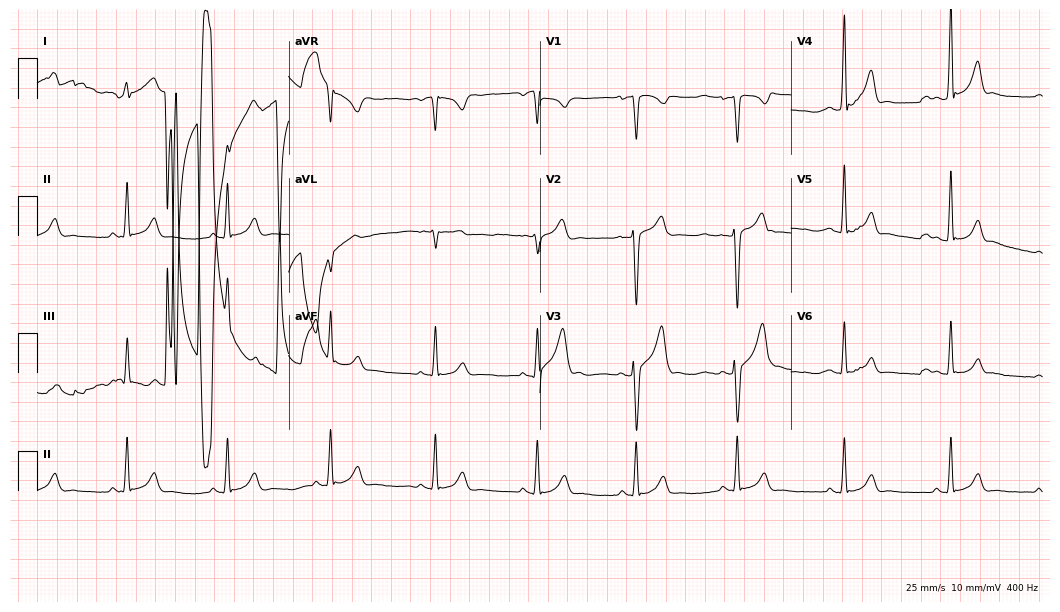
Resting 12-lead electrocardiogram. Patient: a male, 25 years old. Read as a normal ECG.